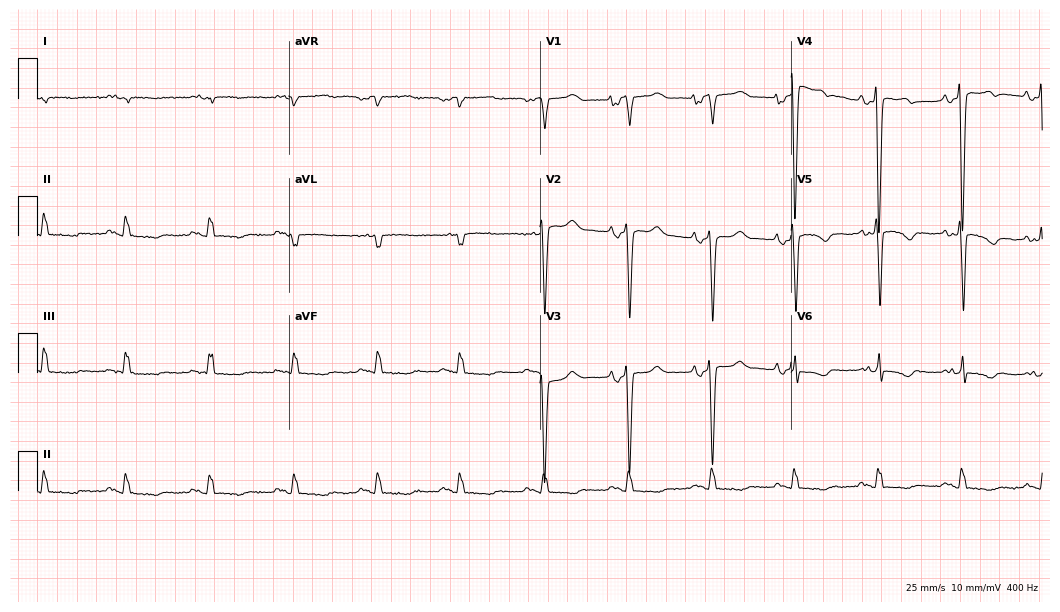
12-lead ECG from a 58-year-old man. No first-degree AV block, right bundle branch block, left bundle branch block, sinus bradycardia, atrial fibrillation or sinus tachycardia recorded for this tracing.